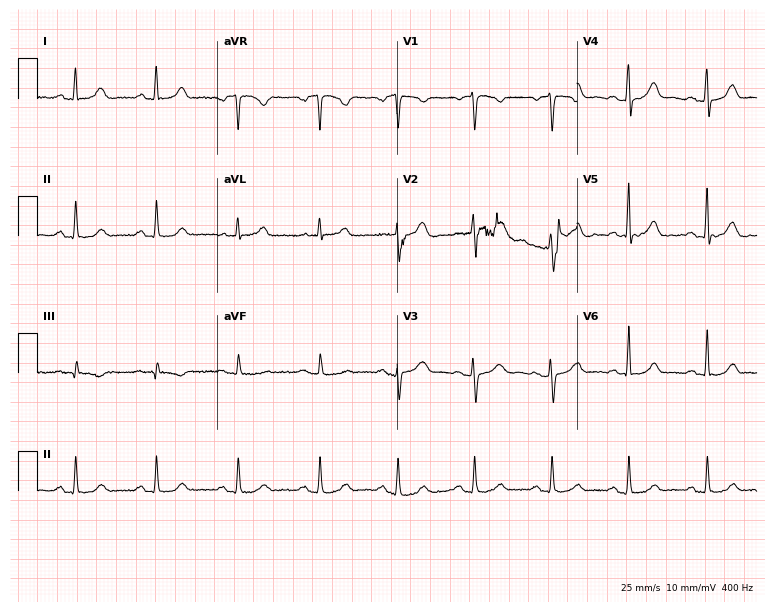
Electrocardiogram (7.3-second recording at 400 Hz), a 60-year-old female patient. Of the six screened findings (first-degree AV block, right bundle branch block (RBBB), left bundle branch block (LBBB), sinus bradycardia, atrial fibrillation (AF), sinus tachycardia), none is recorded. Only these six findings were labelled.